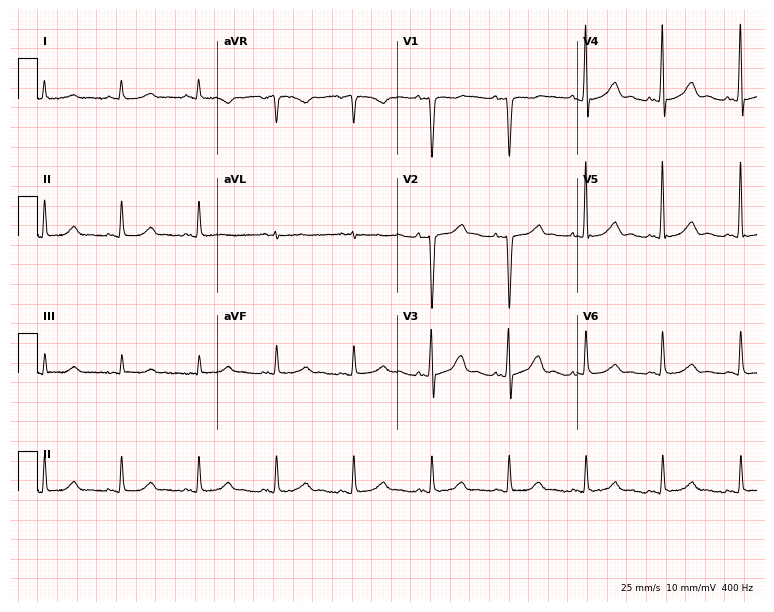
ECG — a 60-year-old female patient. Screened for six findings — first-degree AV block, right bundle branch block (RBBB), left bundle branch block (LBBB), sinus bradycardia, atrial fibrillation (AF), sinus tachycardia — none is recorded.